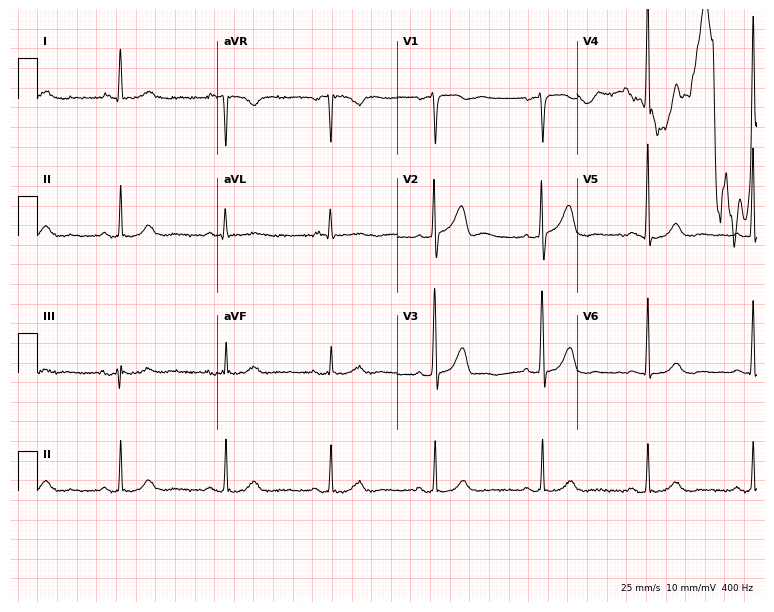
12-lead ECG from a 76-year-old woman (7.3-second recording at 400 Hz). Recorded interpretation: within normal limits.